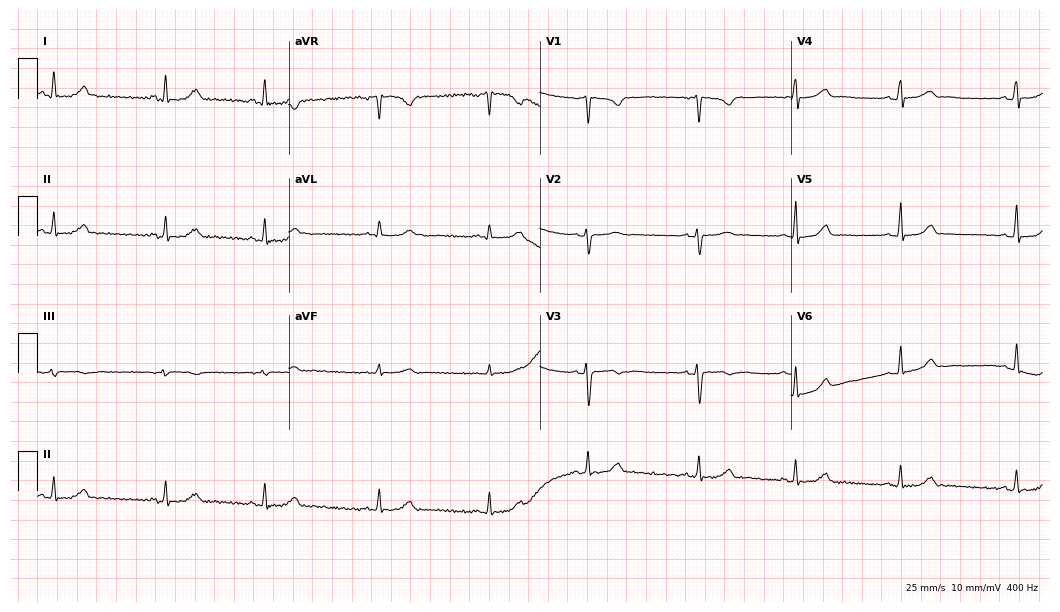
12-lead ECG from a 22-year-old woman. Labelled as a normal ECG.